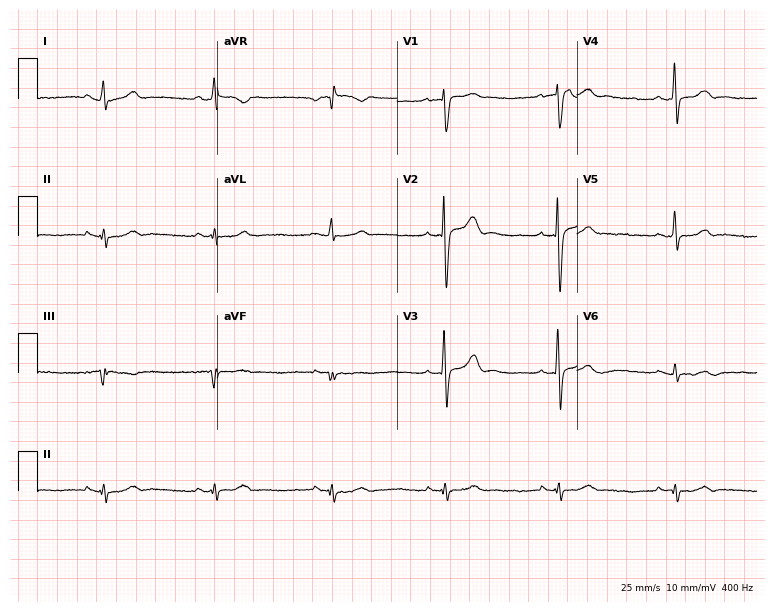
12-lead ECG from a man, 47 years old. Labelled as a normal ECG.